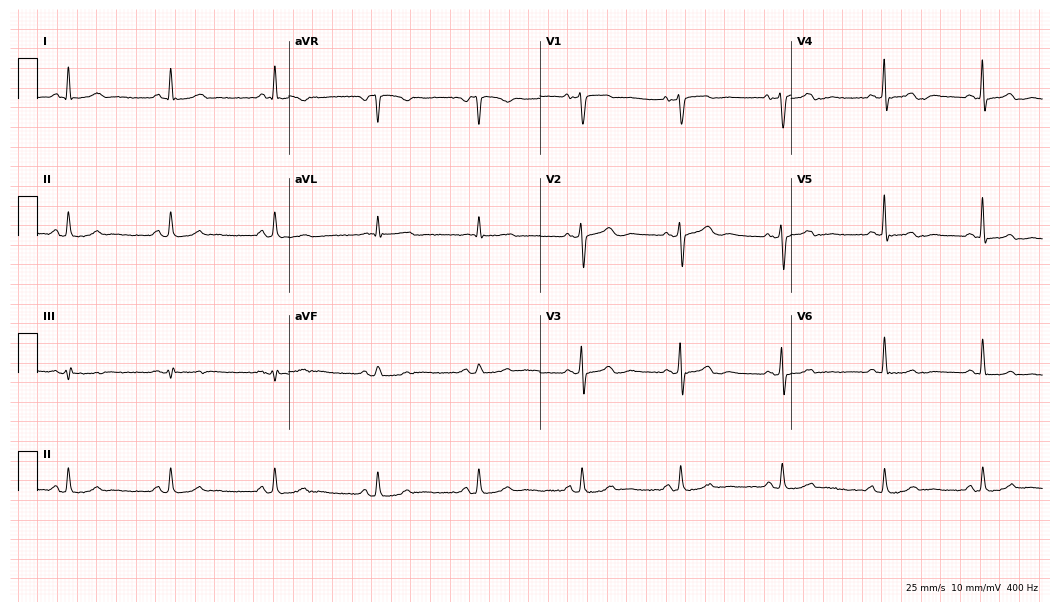
Electrocardiogram (10.2-second recording at 400 Hz), a female patient, 66 years old. Overall reading on record: normal ECG.